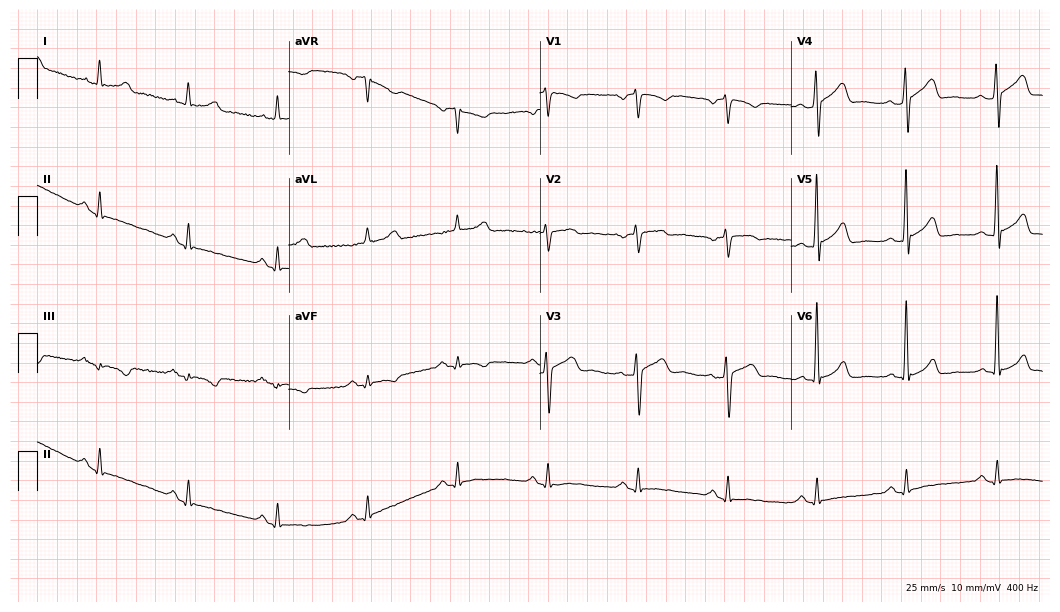
Standard 12-lead ECG recorded from a 54-year-old male. None of these six findings is recorded: first-degree AV block, right bundle branch block, left bundle branch block, sinus bradycardia, atrial fibrillation, sinus tachycardia. Other findings, if any, are not listed.